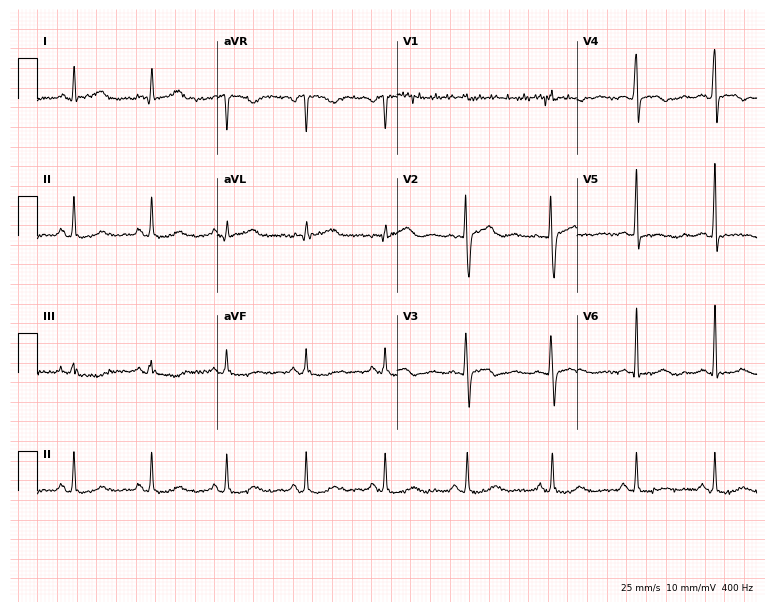
Resting 12-lead electrocardiogram. Patient: a 34-year-old woman. None of these six findings is recorded: first-degree AV block, right bundle branch block, left bundle branch block, sinus bradycardia, atrial fibrillation, sinus tachycardia. Findings outside these six are not listed.